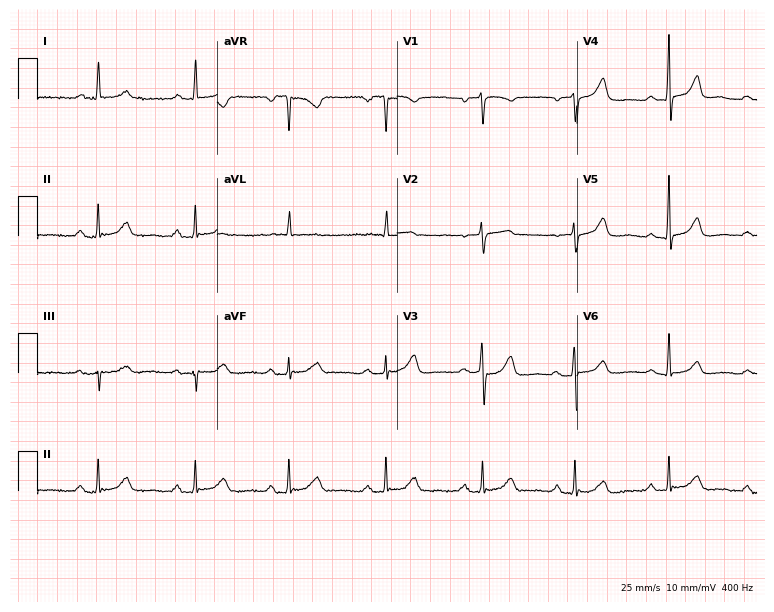
Standard 12-lead ECG recorded from a female, 75 years old (7.3-second recording at 400 Hz). The tracing shows first-degree AV block.